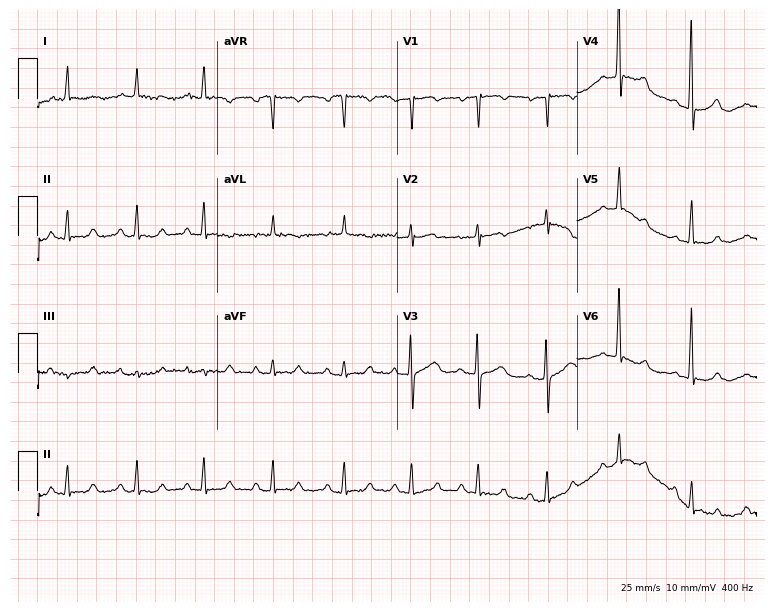
12-lead ECG from a 48-year-old female. Screened for six findings — first-degree AV block, right bundle branch block, left bundle branch block, sinus bradycardia, atrial fibrillation, sinus tachycardia — none is recorded.